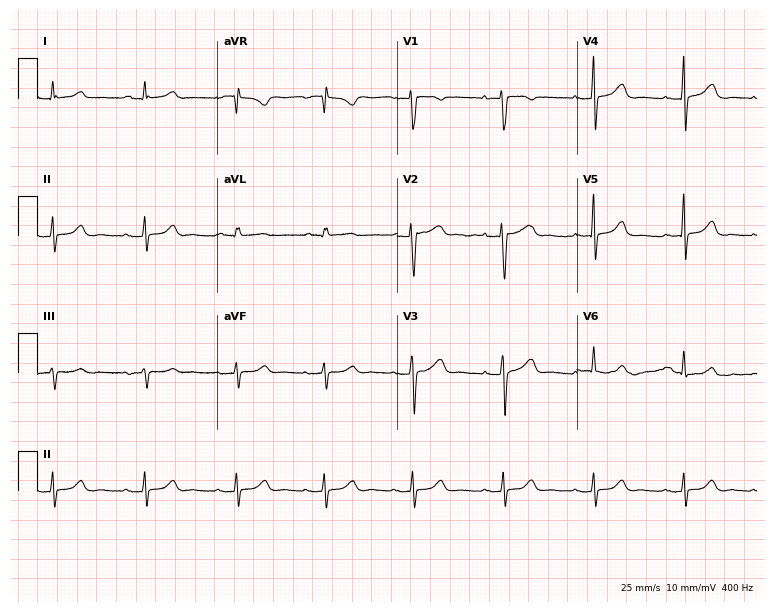
12-lead ECG from a woman, 35 years old. Screened for six findings — first-degree AV block, right bundle branch block, left bundle branch block, sinus bradycardia, atrial fibrillation, sinus tachycardia — none is recorded. Findings outside these six are not listed.